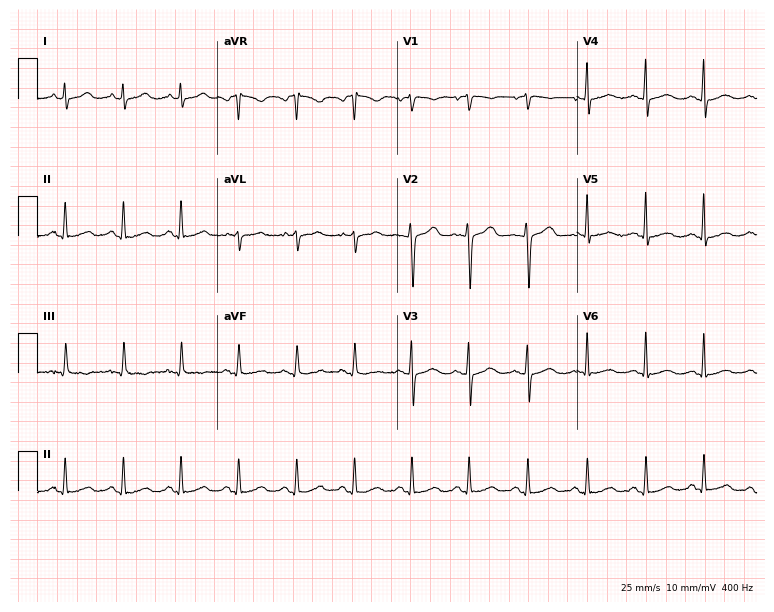
12-lead ECG from a 37-year-old female. Shows sinus tachycardia (a sinus rate of 100 beats per minute or more).